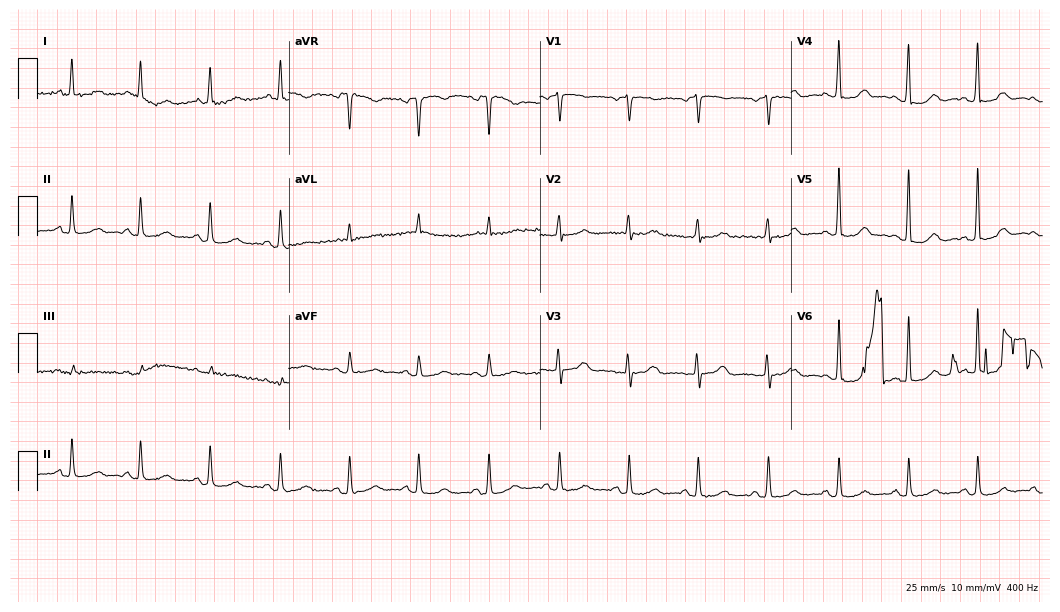
Electrocardiogram (10.2-second recording at 400 Hz), a 74-year-old female patient. Of the six screened findings (first-degree AV block, right bundle branch block (RBBB), left bundle branch block (LBBB), sinus bradycardia, atrial fibrillation (AF), sinus tachycardia), none is recorded. Only these six findings were labelled.